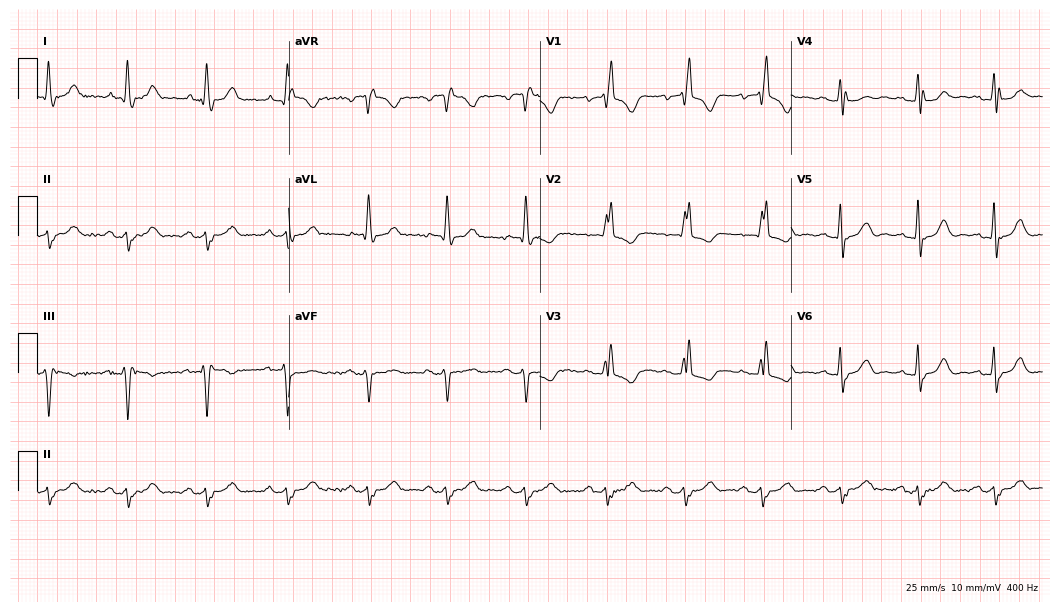
12-lead ECG from a female, 82 years old (10.2-second recording at 400 Hz). Shows right bundle branch block (RBBB).